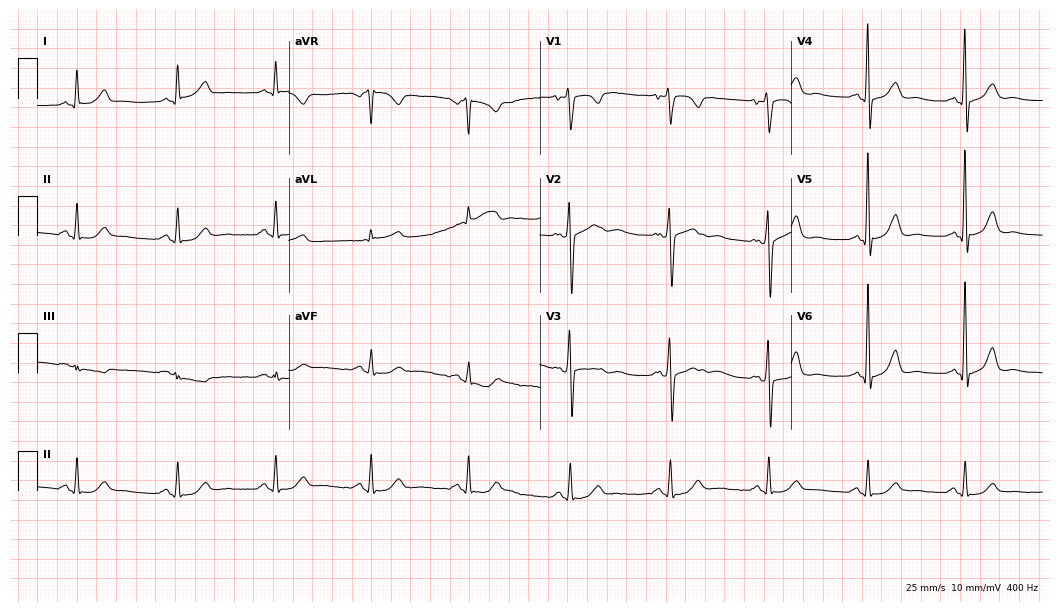
12-lead ECG from a male patient, 67 years old. Labelled as a normal ECG.